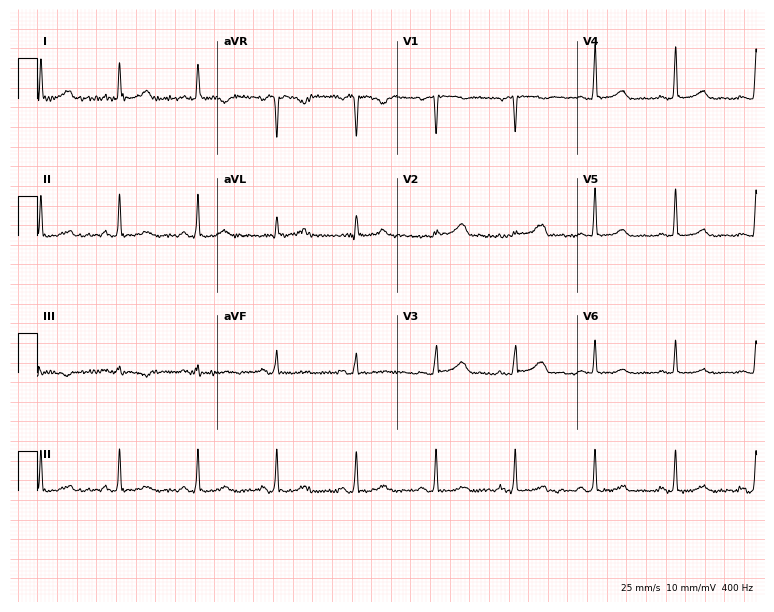
Resting 12-lead electrocardiogram (7.3-second recording at 400 Hz). Patient: a 42-year-old woman. Read as a normal ECG.